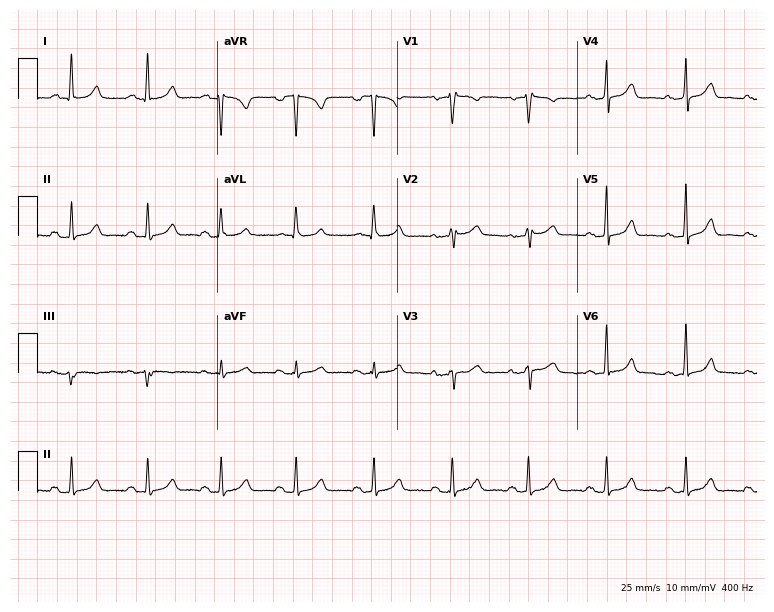
ECG (7.3-second recording at 400 Hz) — a 48-year-old female. Labelled as a normal ECG.